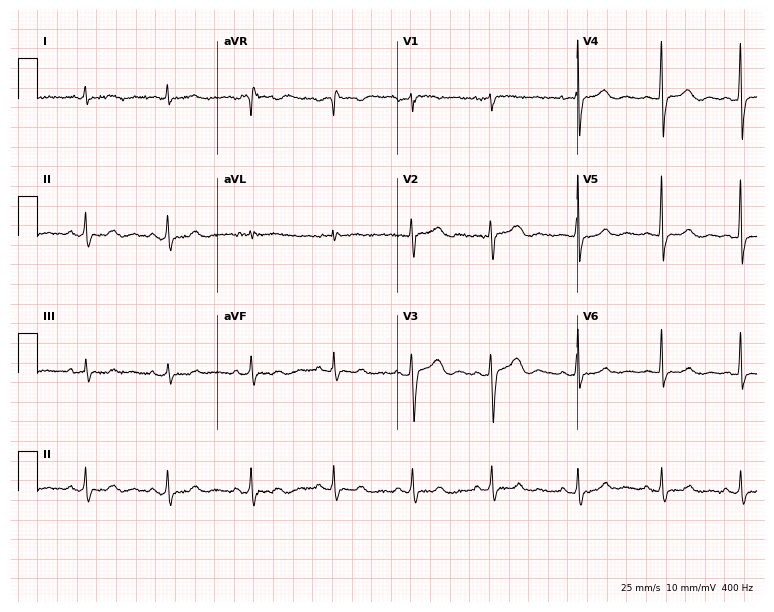
Electrocardiogram (7.3-second recording at 400 Hz), a female patient, 48 years old. Of the six screened findings (first-degree AV block, right bundle branch block, left bundle branch block, sinus bradycardia, atrial fibrillation, sinus tachycardia), none is recorded.